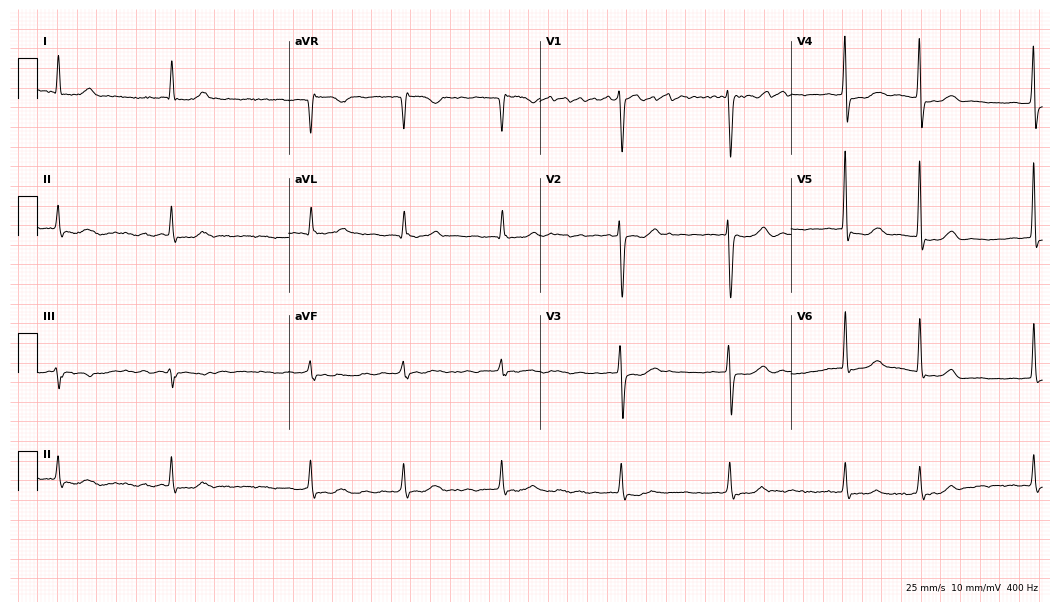
Resting 12-lead electrocardiogram (10.2-second recording at 400 Hz). Patient: a female, 72 years old. The tracing shows atrial fibrillation (AF).